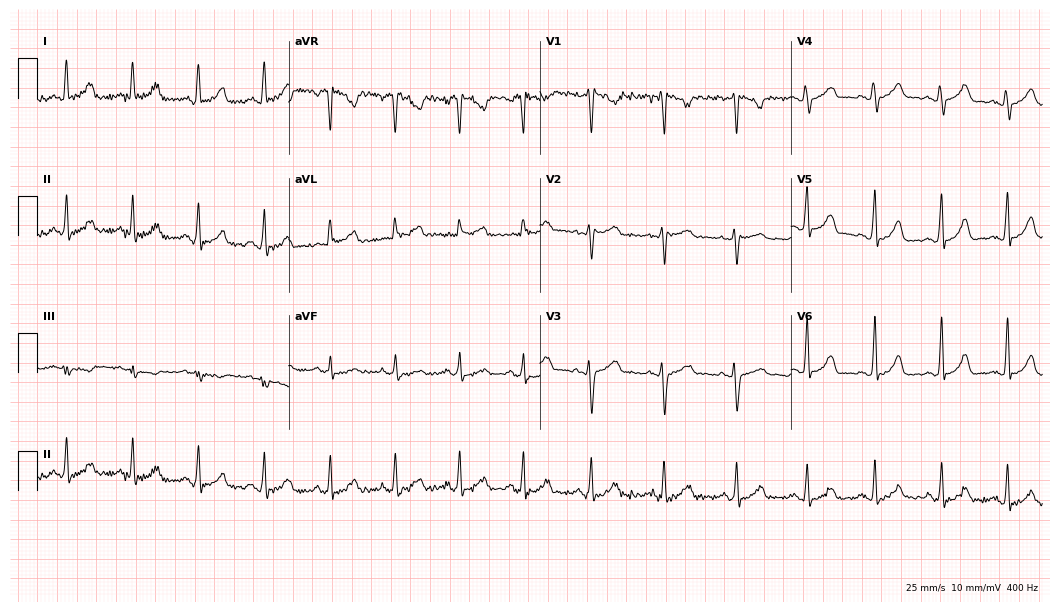
12-lead ECG (10.2-second recording at 400 Hz) from a 33-year-old female patient. Labelled as a normal ECG.